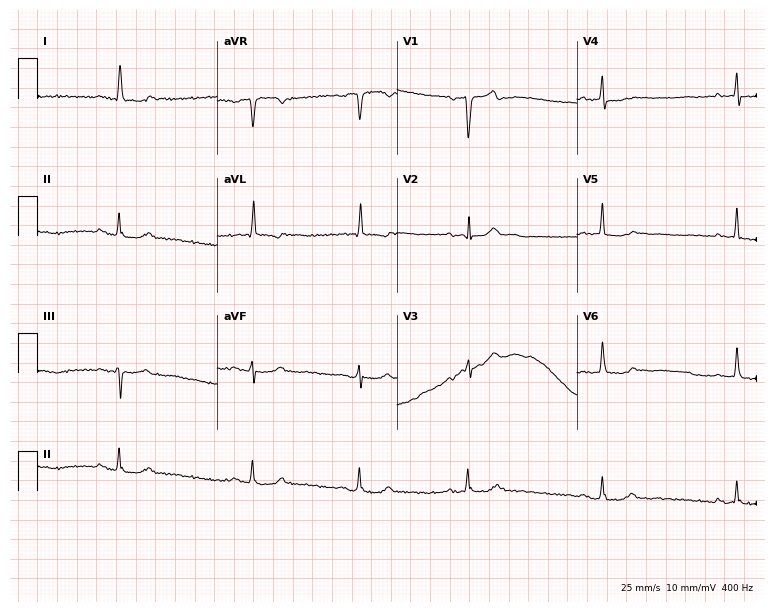
Electrocardiogram, a male, 77 years old. Interpretation includes sinus bradycardia (a sinus rate of 50 beats per minute or less).